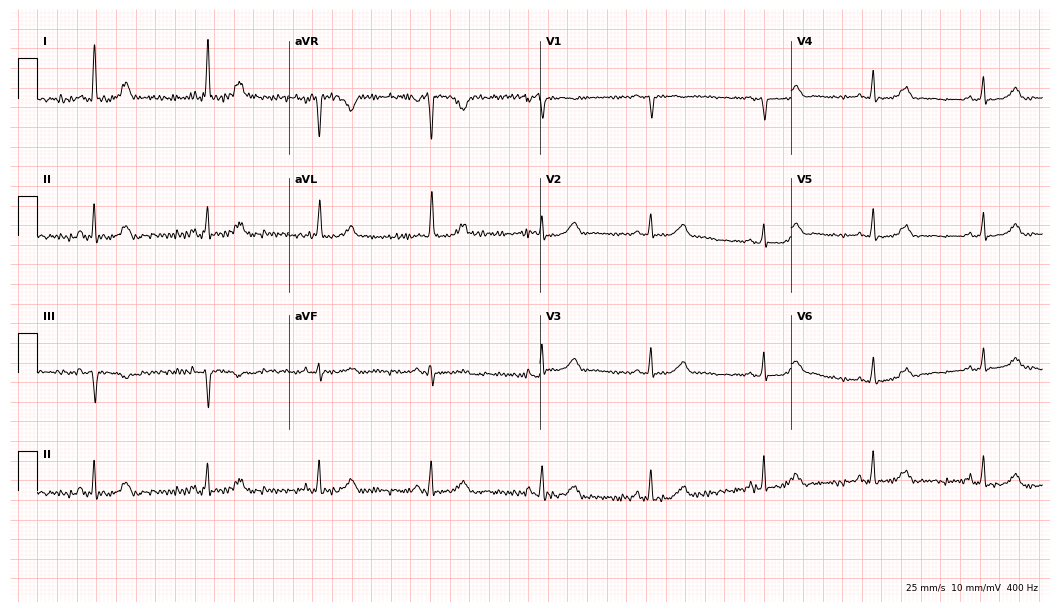
12-lead ECG from a 63-year-old female patient (10.2-second recording at 400 Hz). No first-degree AV block, right bundle branch block, left bundle branch block, sinus bradycardia, atrial fibrillation or sinus tachycardia recorded for this tracing. Only these six findings were labelled.